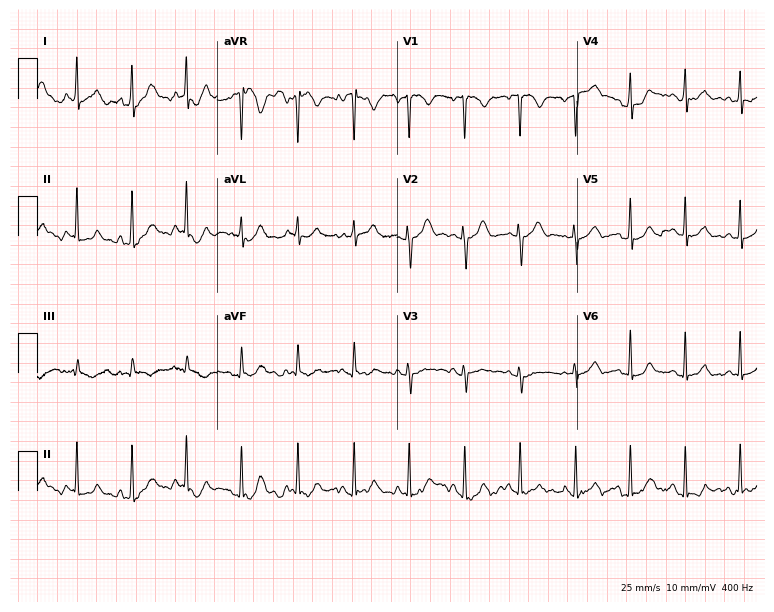
12-lead ECG from a female, 17 years old. Shows sinus tachycardia (a sinus rate of 100 beats per minute or more).